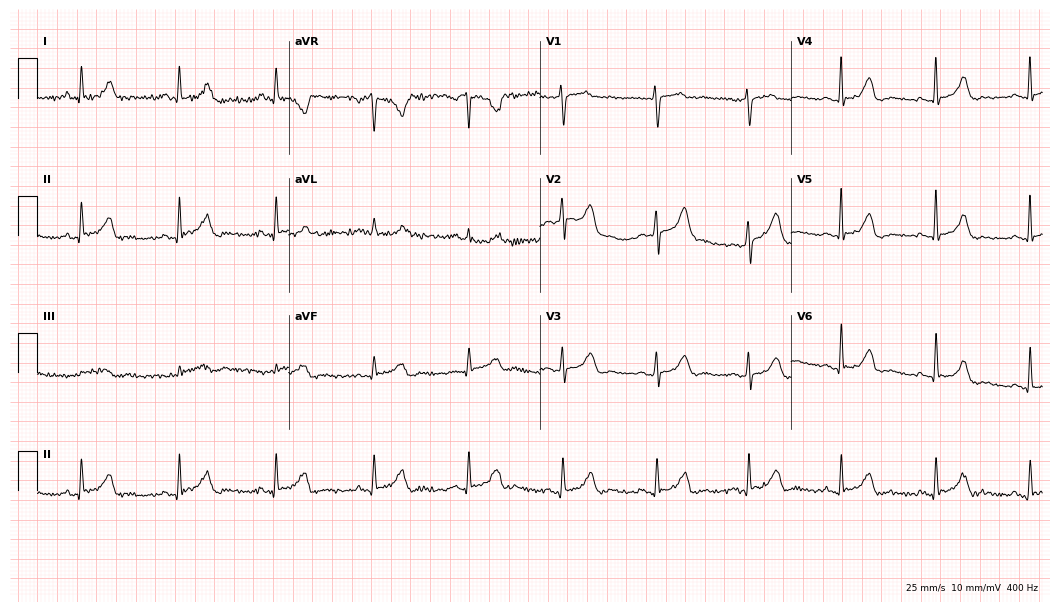
Electrocardiogram (10.2-second recording at 400 Hz), a female patient, 51 years old. Overall reading on record: normal ECG.